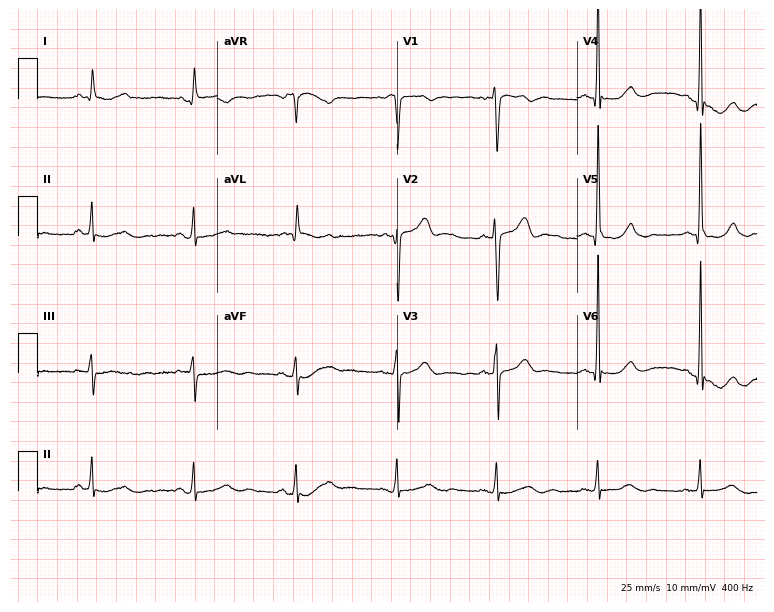
12-lead ECG (7.3-second recording at 400 Hz) from a male patient, 70 years old. Labelled as a normal ECG.